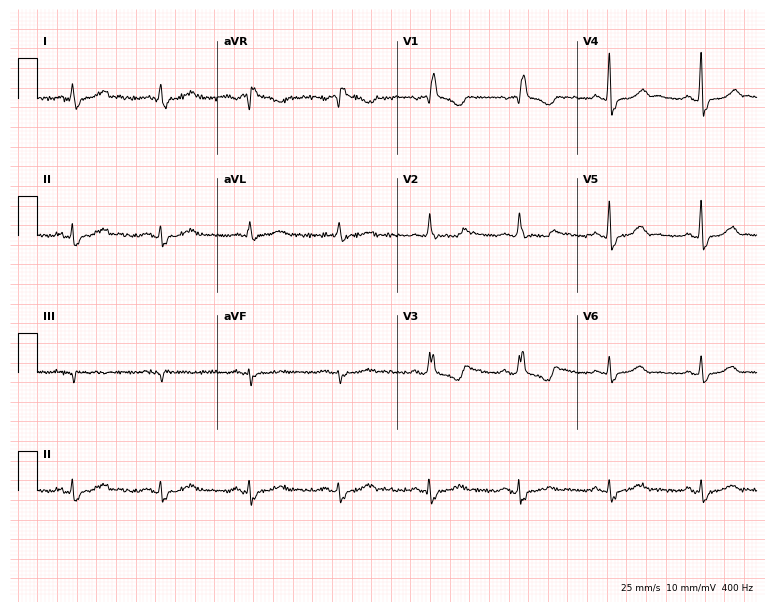
ECG — a man, 75 years old. Findings include right bundle branch block.